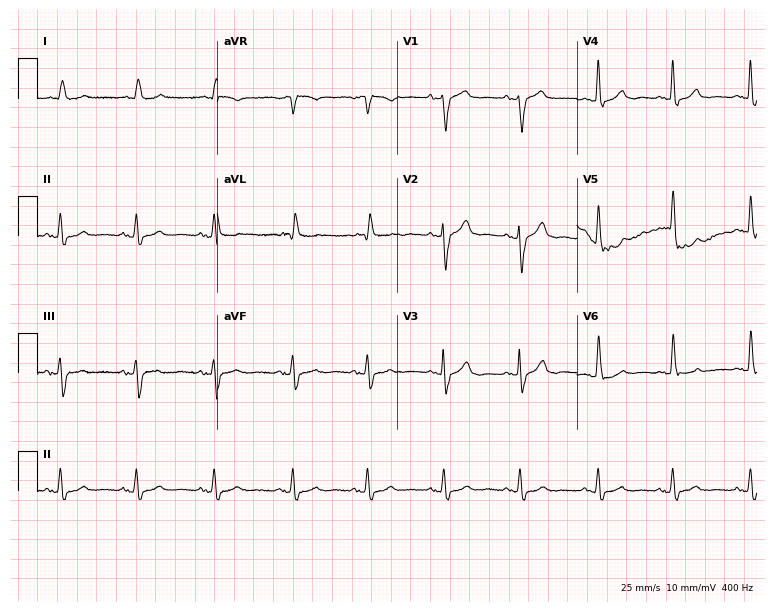
Standard 12-lead ECG recorded from an 82-year-old female (7.3-second recording at 400 Hz). Read as a normal ECG.